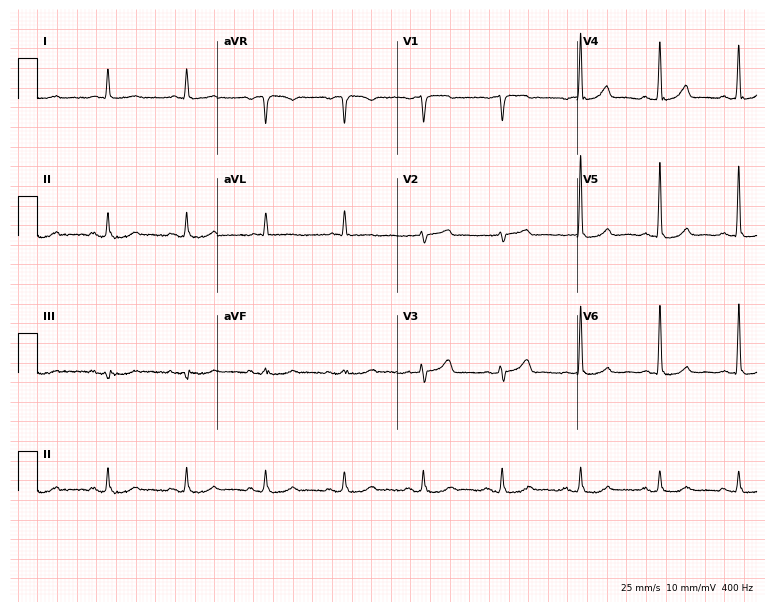
12-lead ECG (7.3-second recording at 400 Hz) from a male, 85 years old. Screened for six findings — first-degree AV block, right bundle branch block, left bundle branch block, sinus bradycardia, atrial fibrillation, sinus tachycardia — none is recorded.